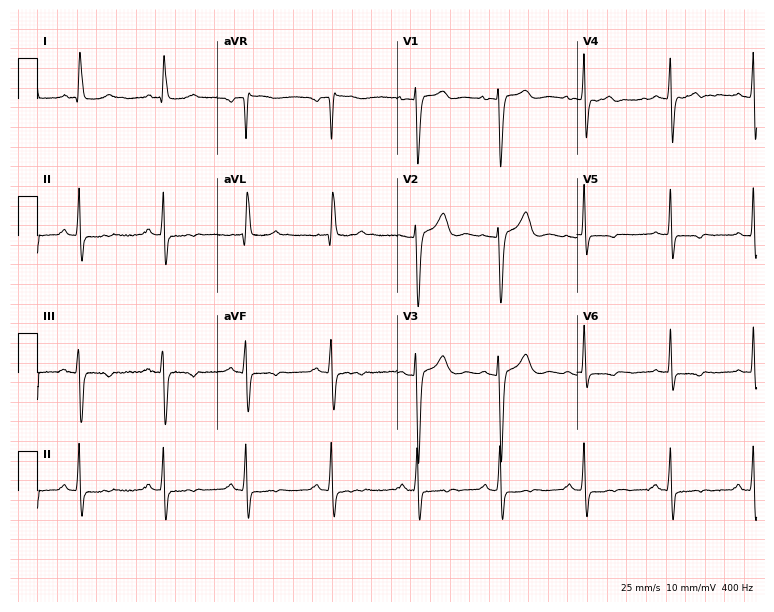
Standard 12-lead ECG recorded from a 61-year-old female (7.3-second recording at 400 Hz). None of these six findings is recorded: first-degree AV block, right bundle branch block (RBBB), left bundle branch block (LBBB), sinus bradycardia, atrial fibrillation (AF), sinus tachycardia.